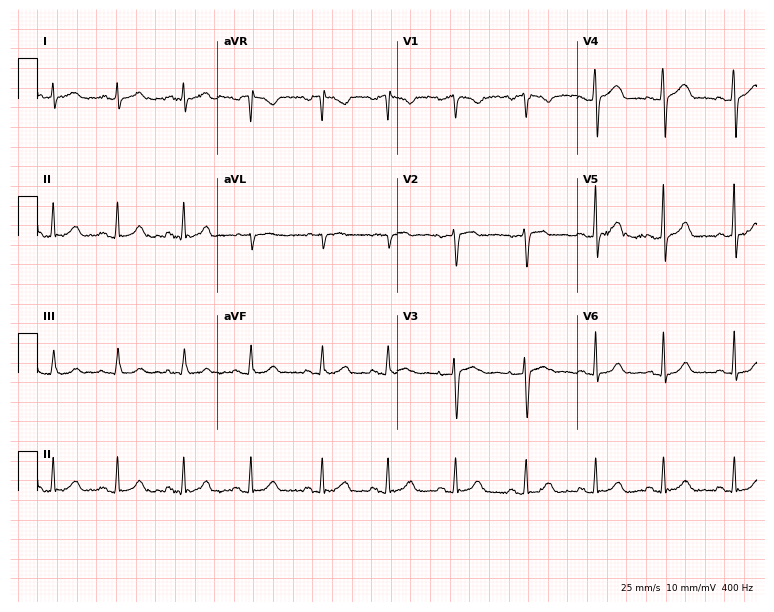
12-lead ECG (7.3-second recording at 400 Hz) from a 45-year-old female. Labelled as a normal ECG.